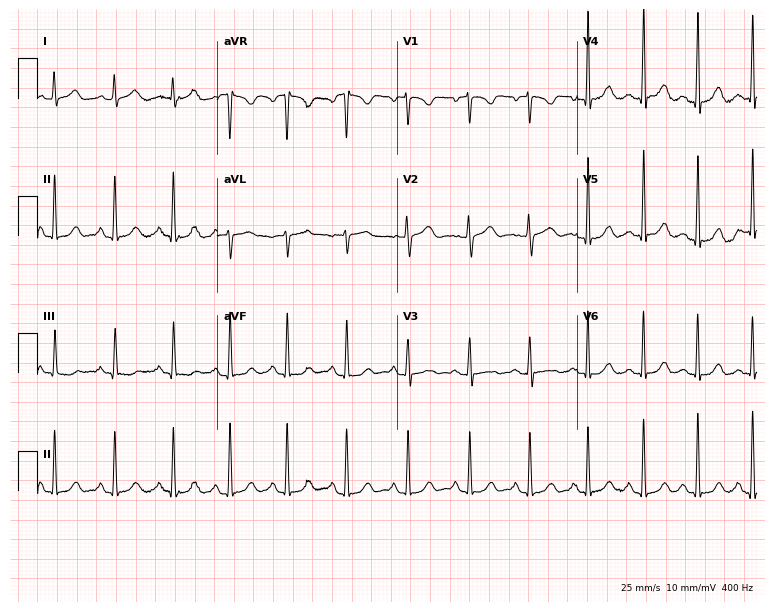
Electrocardiogram, a female, 18 years old. Of the six screened findings (first-degree AV block, right bundle branch block (RBBB), left bundle branch block (LBBB), sinus bradycardia, atrial fibrillation (AF), sinus tachycardia), none is recorded. Other findings, if any, are not listed.